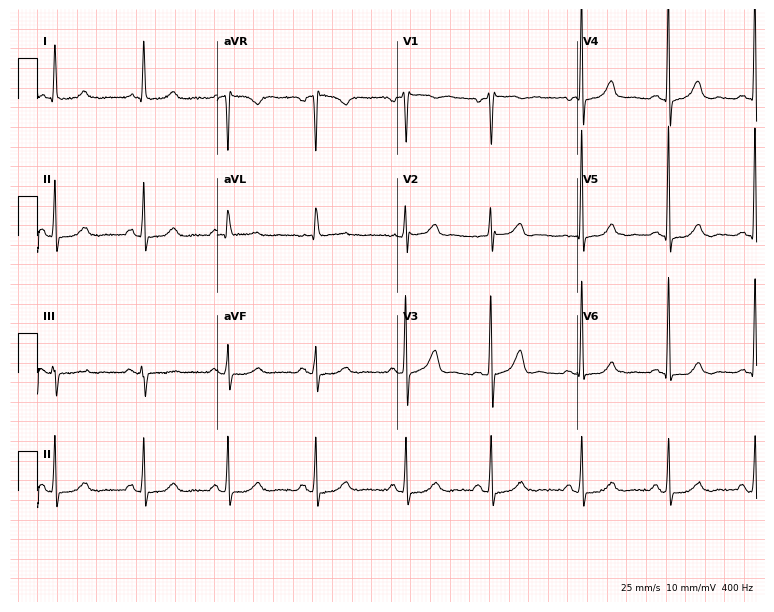
Electrocardiogram, a 53-year-old female patient. Of the six screened findings (first-degree AV block, right bundle branch block (RBBB), left bundle branch block (LBBB), sinus bradycardia, atrial fibrillation (AF), sinus tachycardia), none is recorded. Only these six findings were labelled.